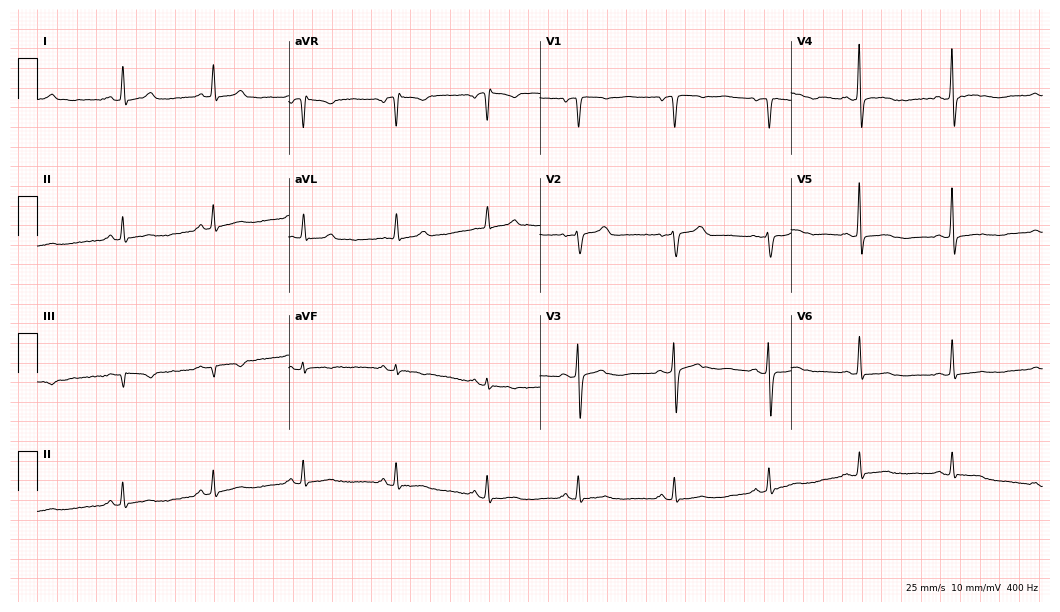
Electrocardiogram, a 47-year-old woman. Of the six screened findings (first-degree AV block, right bundle branch block, left bundle branch block, sinus bradycardia, atrial fibrillation, sinus tachycardia), none is recorded.